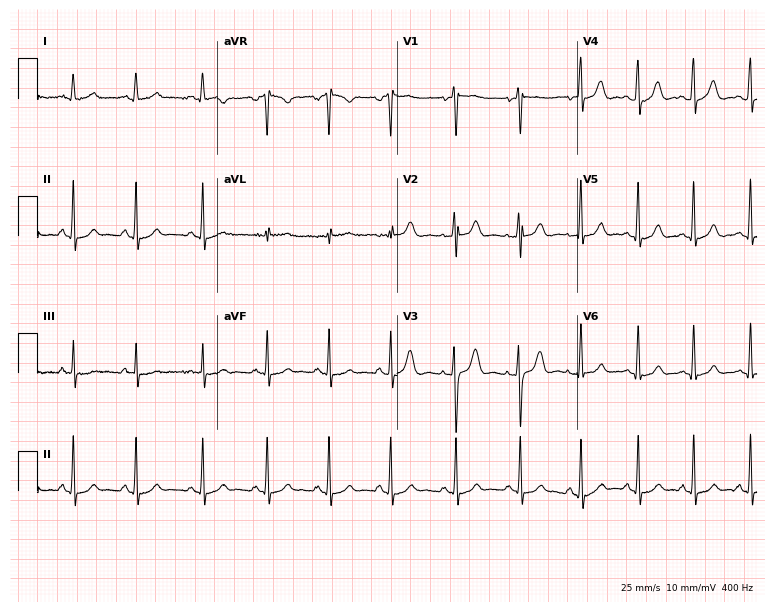
Electrocardiogram (7.3-second recording at 400 Hz), an 18-year-old woman. Overall reading on record: normal ECG.